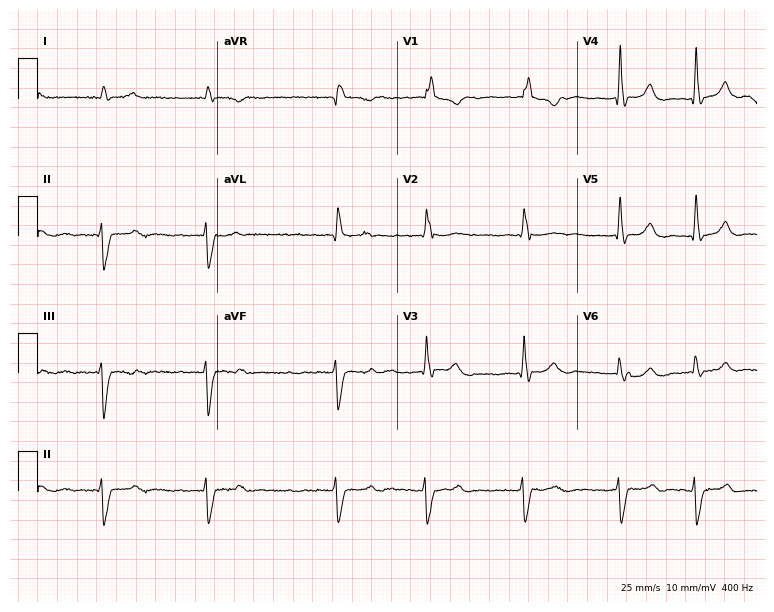
12-lead ECG from a 78-year-old man. Shows right bundle branch block (RBBB), atrial fibrillation (AF).